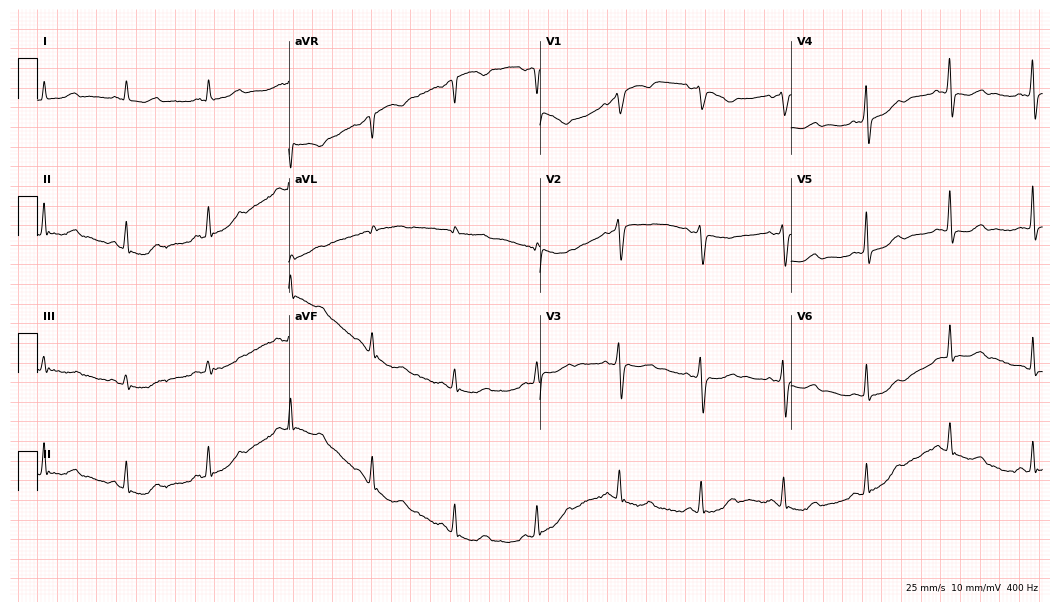
Standard 12-lead ECG recorded from a 72-year-old female (10.2-second recording at 400 Hz). None of these six findings is recorded: first-degree AV block, right bundle branch block, left bundle branch block, sinus bradycardia, atrial fibrillation, sinus tachycardia.